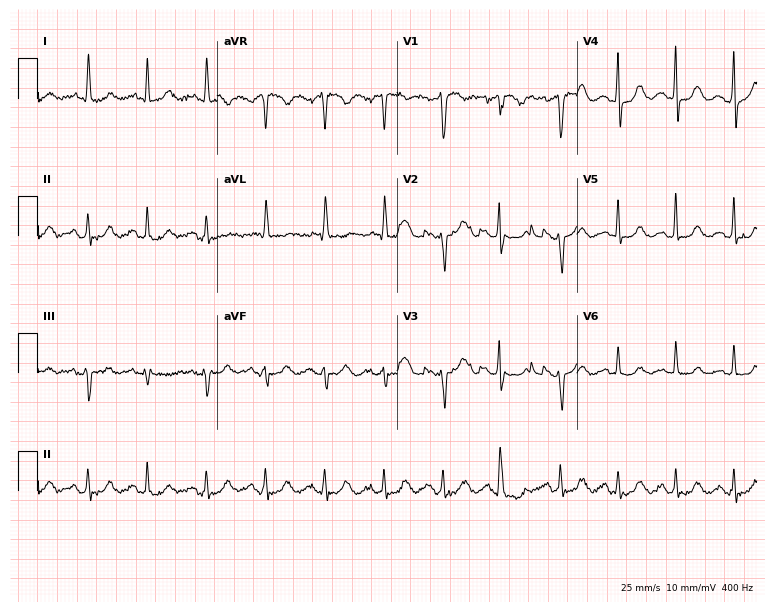
Standard 12-lead ECG recorded from a 62-year-old female. None of these six findings is recorded: first-degree AV block, right bundle branch block (RBBB), left bundle branch block (LBBB), sinus bradycardia, atrial fibrillation (AF), sinus tachycardia. Only these six findings were labelled.